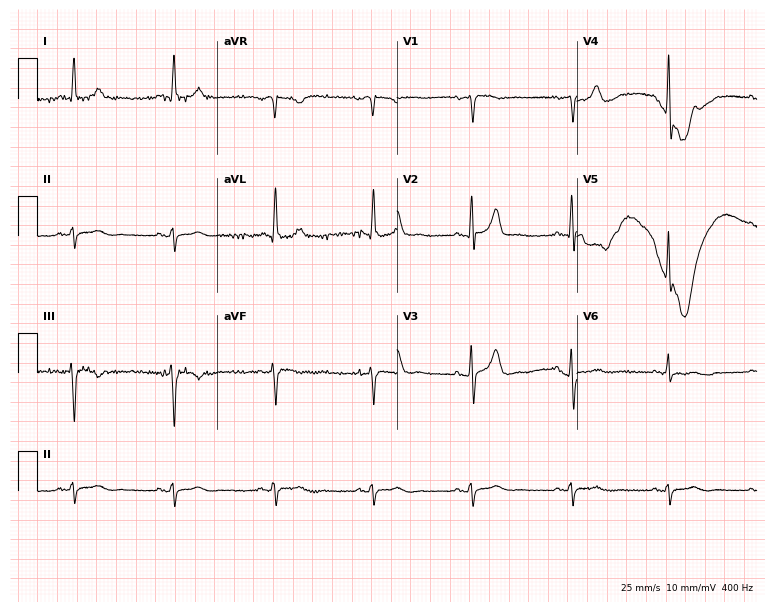
Resting 12-lead electrocardiogram. Patient: a male, 70 years old. None of these six findings is recorded: first-degree AV block, right bundle branch block, left bundle branch block, sinus bradycardia, atrial fibrillation, sinus tachycardia.